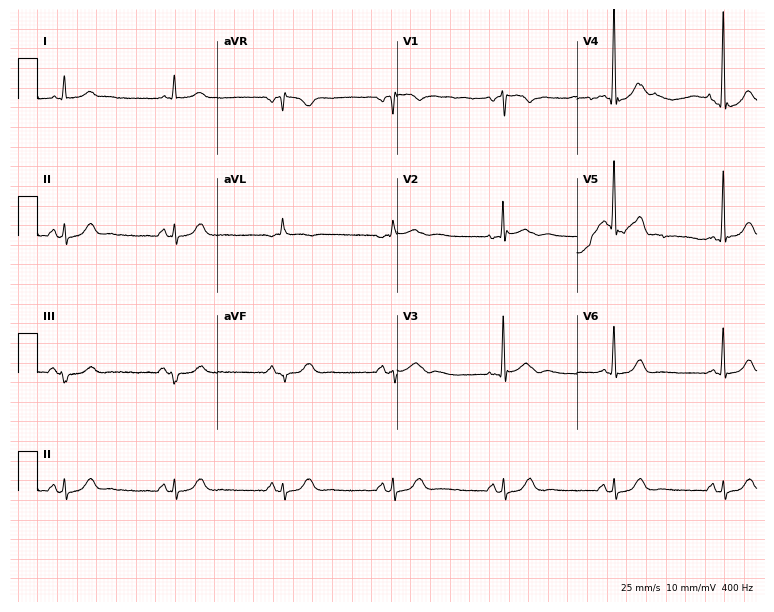
12-lead ECG from an 82-year-old man. Labelled as a normal ECG.